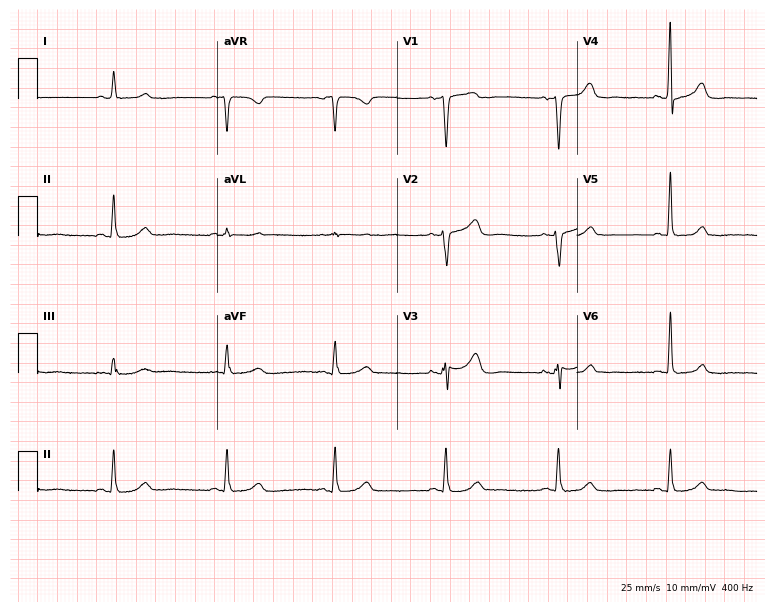
ECG — a 65-year-old female patient. Screened for six findings — first-degree AV block, right bundle branch block (RBBB), left bundle branch block (LBBB), sinus bradycardia, atrial fibrillation (AF), sinus tachycardia — none is recorded. Findings outside these six are not listed.